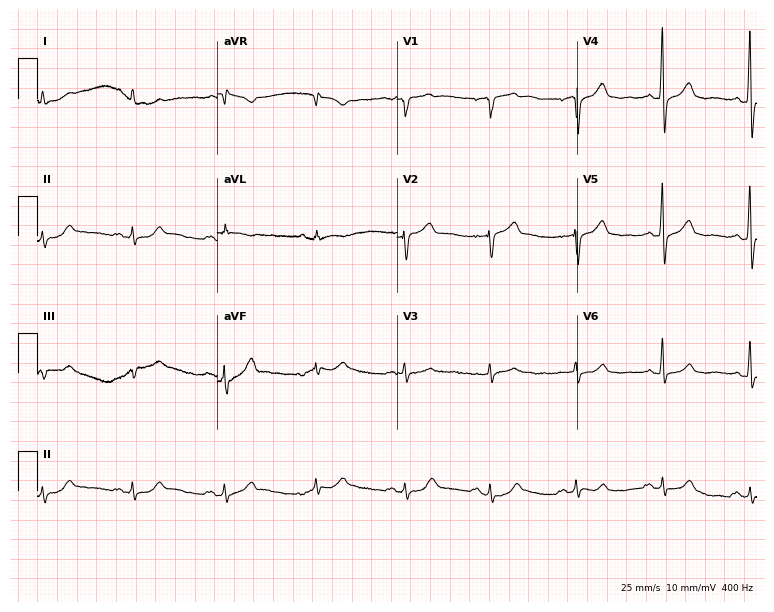
Resting 12-lead electrocardiogram. Patient: a male, 59 years old. None of these six findings is recorded: first-degree AV block, right bundle branch block (RBBB), left bundle branch block (LBBB), sinus bradycardia, atrial fibrillation (AF), sinus tachycardia.